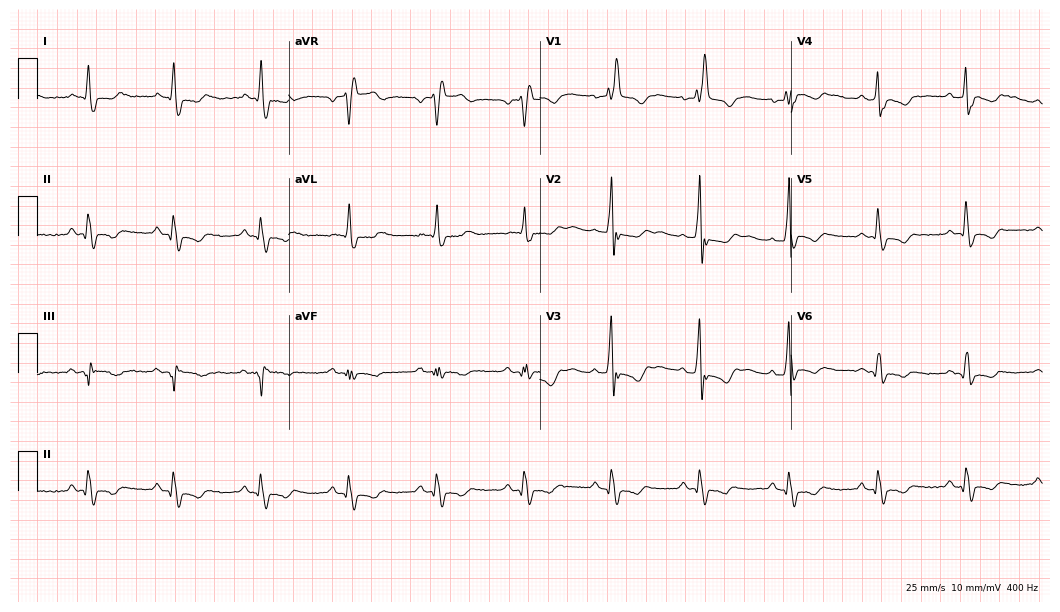
Electrocardiogram (10.2-second recording at 400 Hz), a man, 61 years old. Interpretation includes right bundle branch block (RBBB).